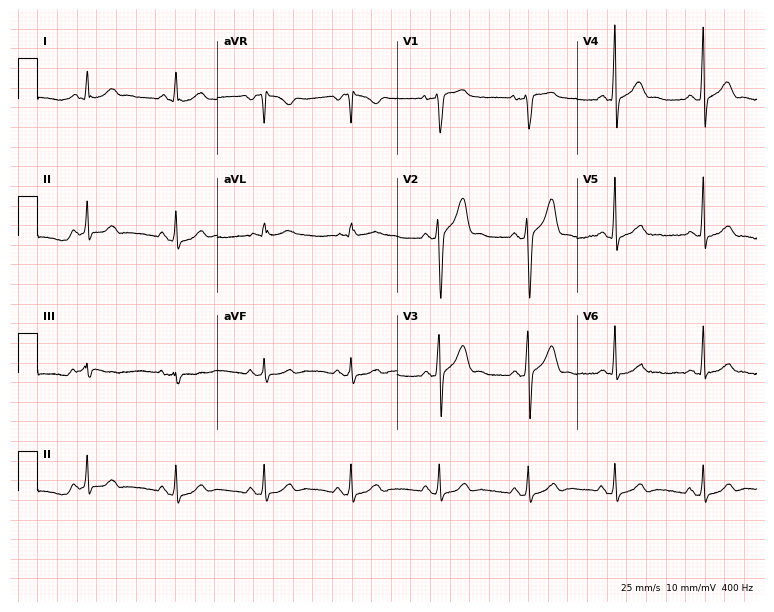
Resting 12-lead electrocardiogram (7.3-second recording at 400 Hz). Patient: a male, 50 years old. Read as a normal ECG.